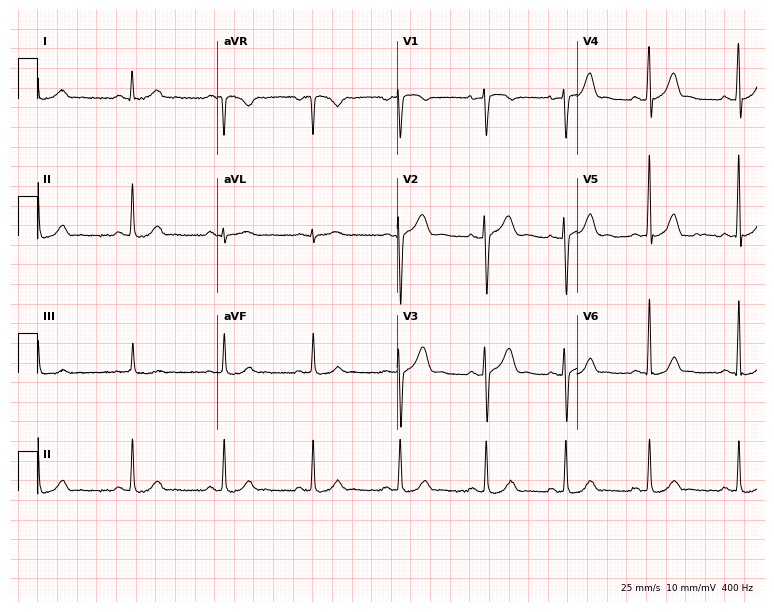
Standard 12-lead ECG recorded from a female patient, 22 years old. Read as a normal ECG.